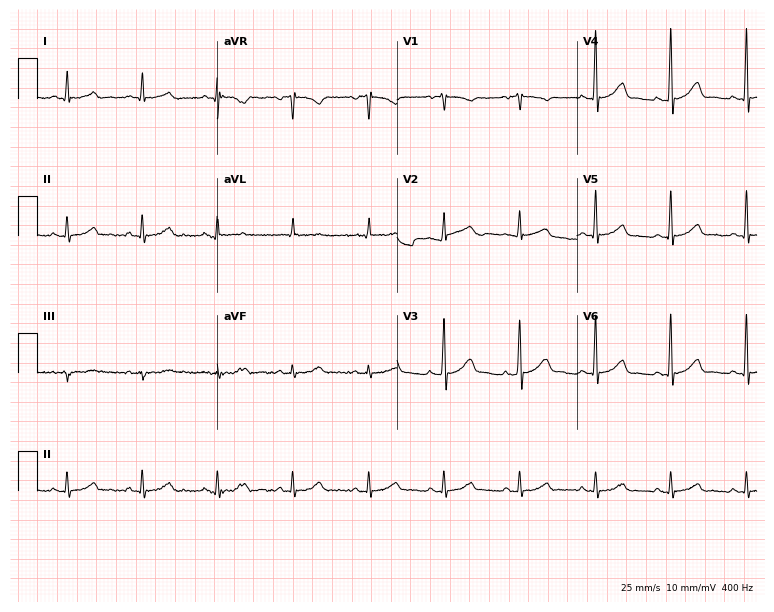
ECG — a female, 63 years old. Labelled as a normal ECG.